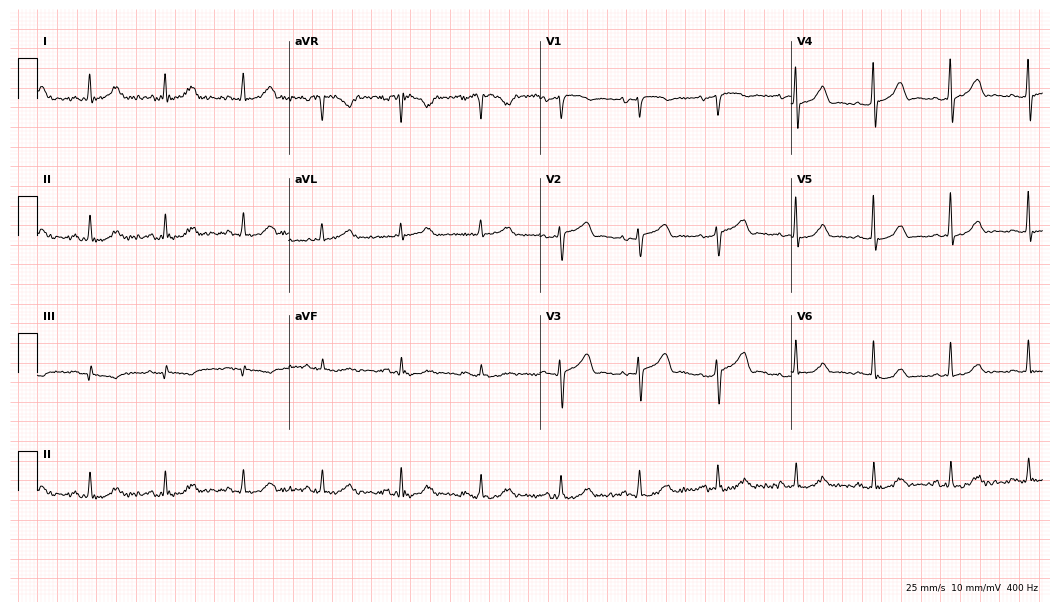
Standard 12-lead ECG recorded from a 64-year-old female patient (10.2-second recording at 400 Hz). Read as a normal ECG.